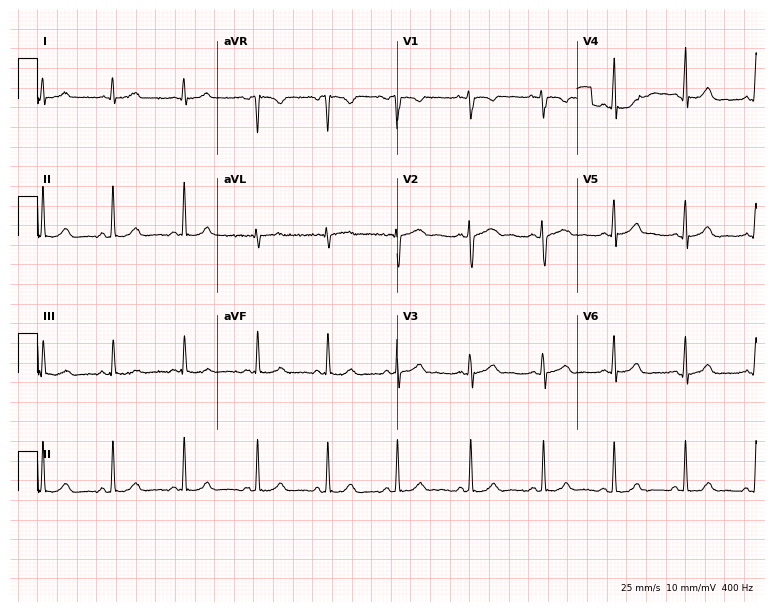
Electrocardiogram, a 23-year-old woman. Overall reading on record: normal ECG.